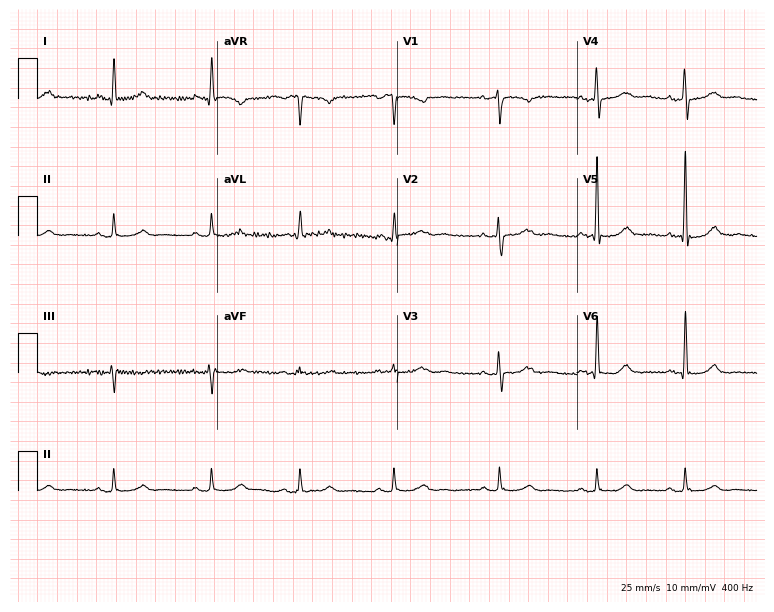
12-lead ECG from a woman, 69 years old. Labelled as a normal ECG.